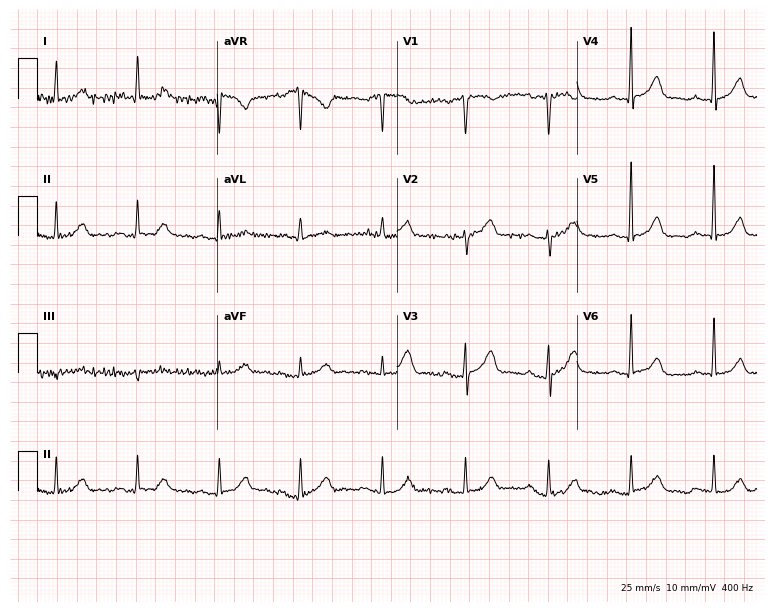
ECG (7.3-second recording at 400 Hz) — a 68-year-old male patient. Labelled as a normal ECG.